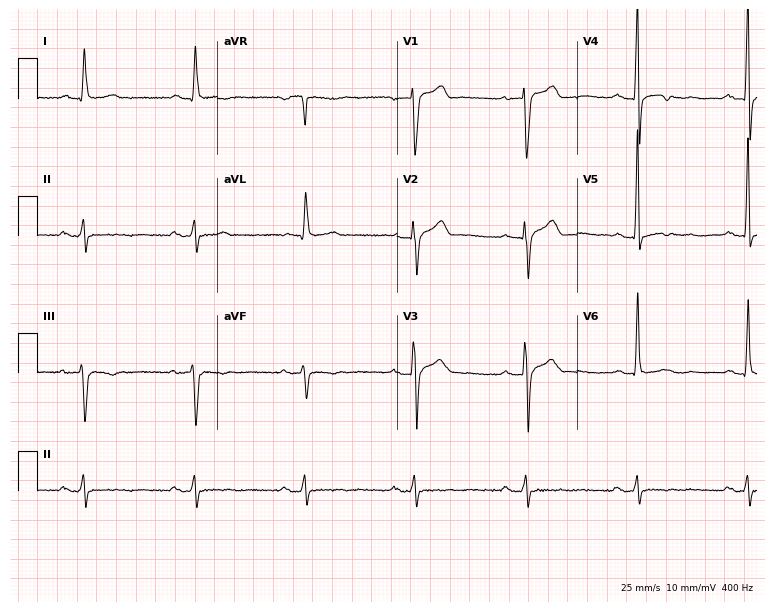
12-lead ECG from a 65-year-old male patient. No first-degree AV block, right bundle branch block, left bundle branch block, sinus bradycardia, atrial fibrillation or sinus tachycardia recorded for this tracing.